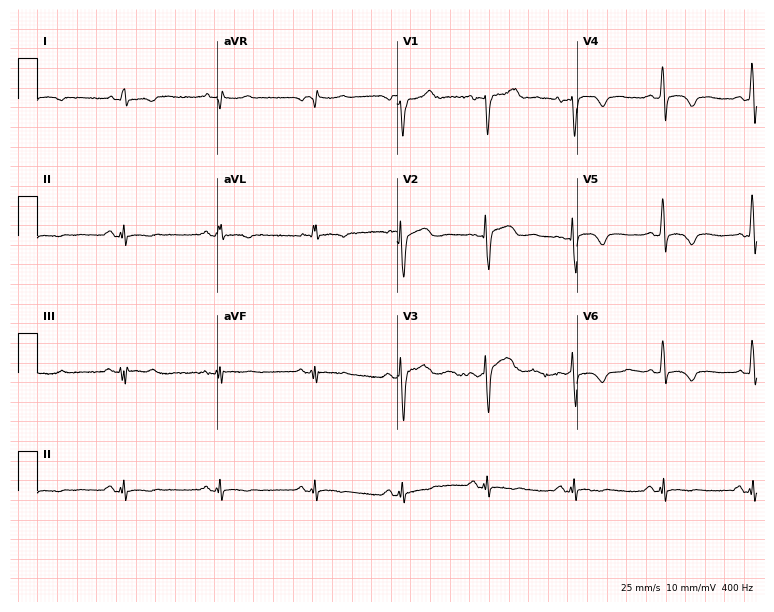
Resting 12-lead electrocardiogram (7.3-second recording at 400 Hz). Patient: a 46-year-old male. None of these six findings is recorded: first-degree AV block, right bundle branch block, left bundle branch block, sinus bradycardia, atrial fibrillation, sinus tachycardia.